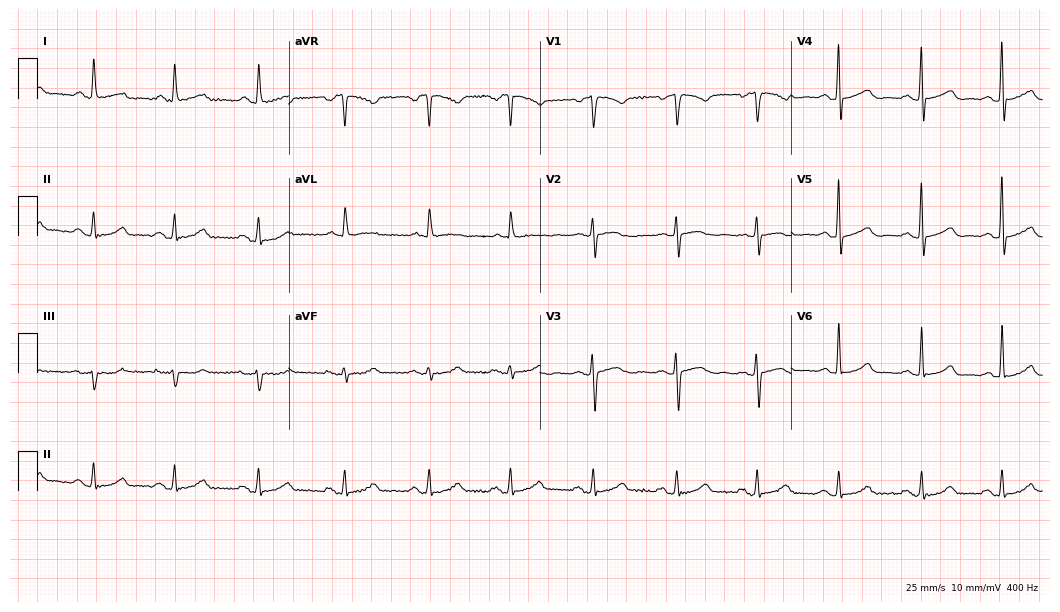
12-lead ECG from a 63-year-old woman. Labelled as a normal ECG.